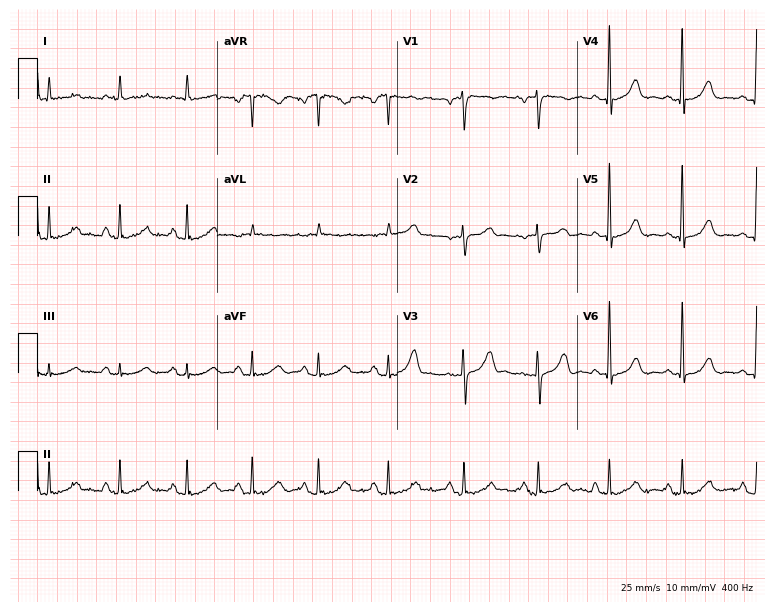
Electrocardiogram, a male patient, 83 years old. Of the six screened findings (first-degree AV block, right bundle branch block, left bundle branch block, sinus bradycardia, atrial fibrillation, sinus tachycardia), none is recorded.